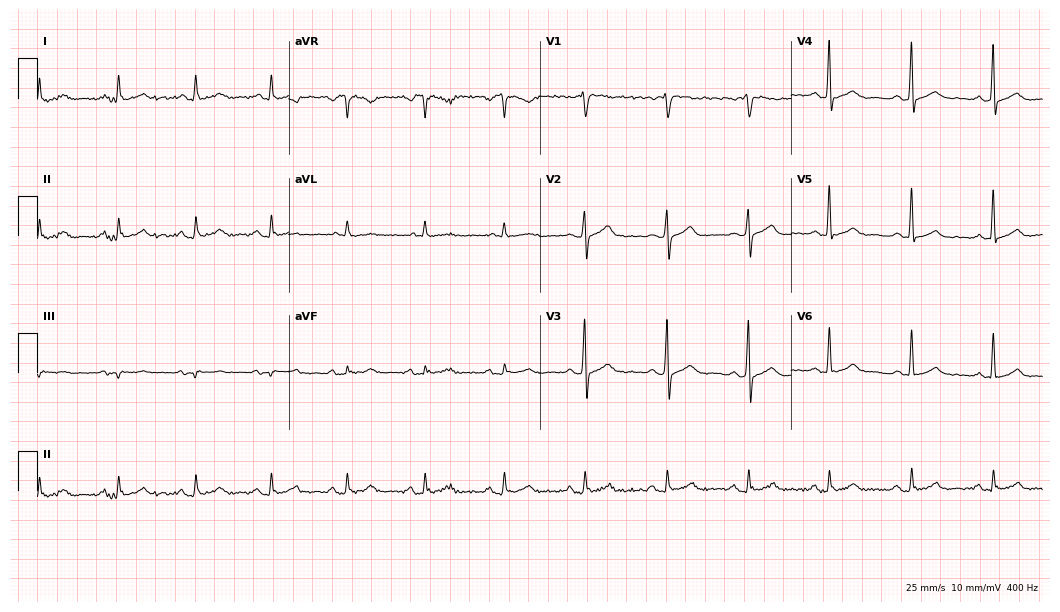
12-lead ECG (10.2-second recording at 400 Hz) from a male patient, 53 years old. Labelled as a normal ECG.